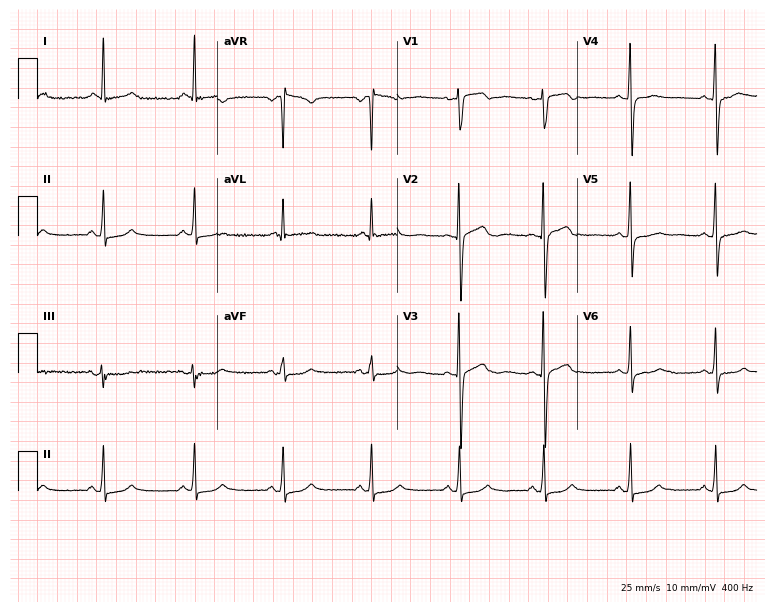
12-lead ECG from a 32-year-old female. Recorded interpretation: within normal limits.